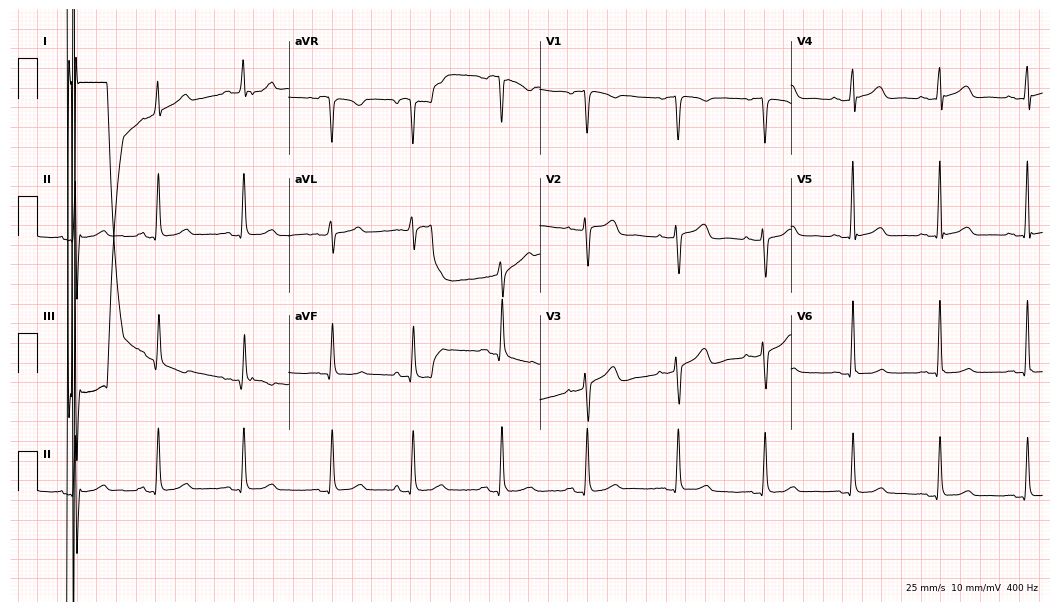
12-lead ECG from a female patient, 66 years old. Labelled as a normal ECG.